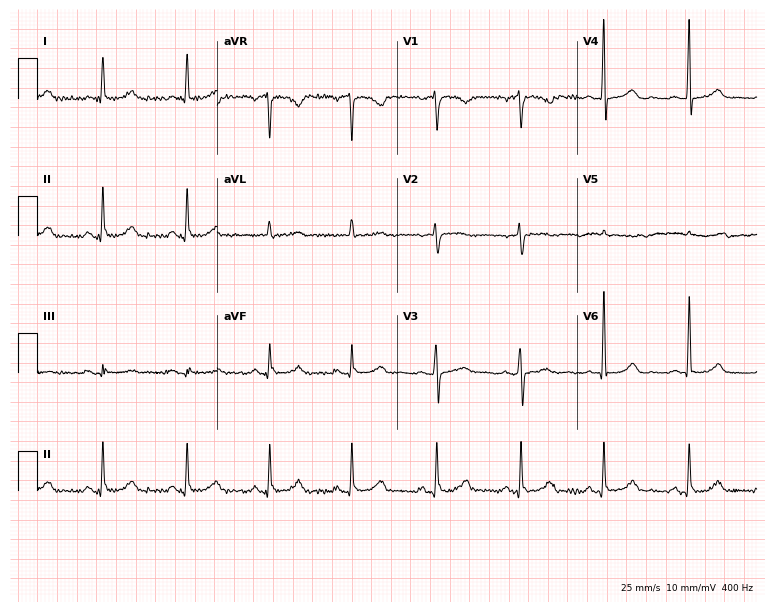
Electrocardiogram, a 62-year-old female. Overall reading on record: normal ECG.